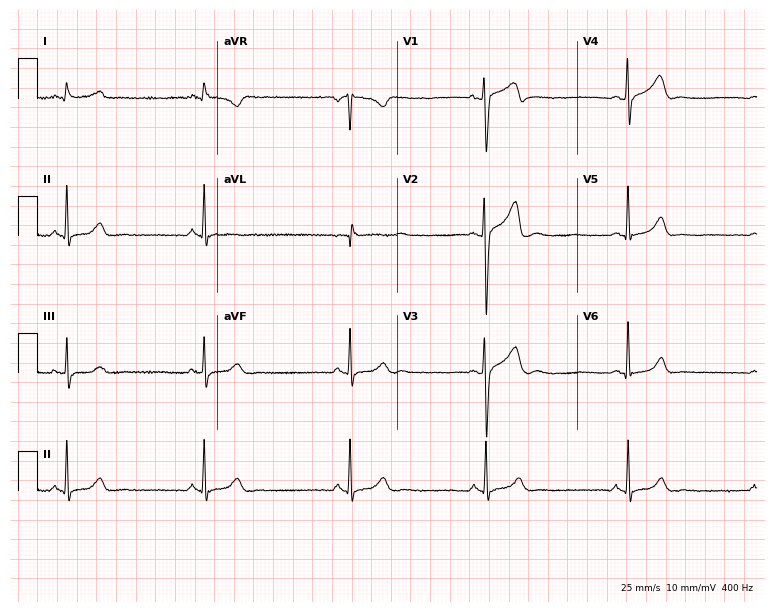
ECG — a male patient, 31 years old. Findings include sinus bradycardia (a sinus rate of 50 beats per minute or less).